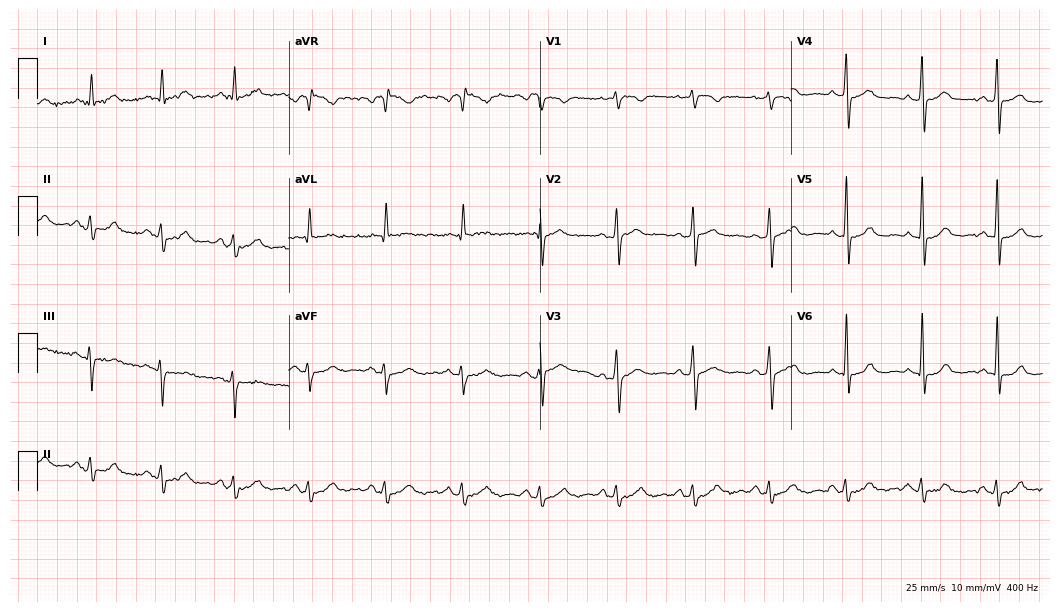
Standard 12-lead ECG recorded from a 66-year-old male. Read as a normal ECG.